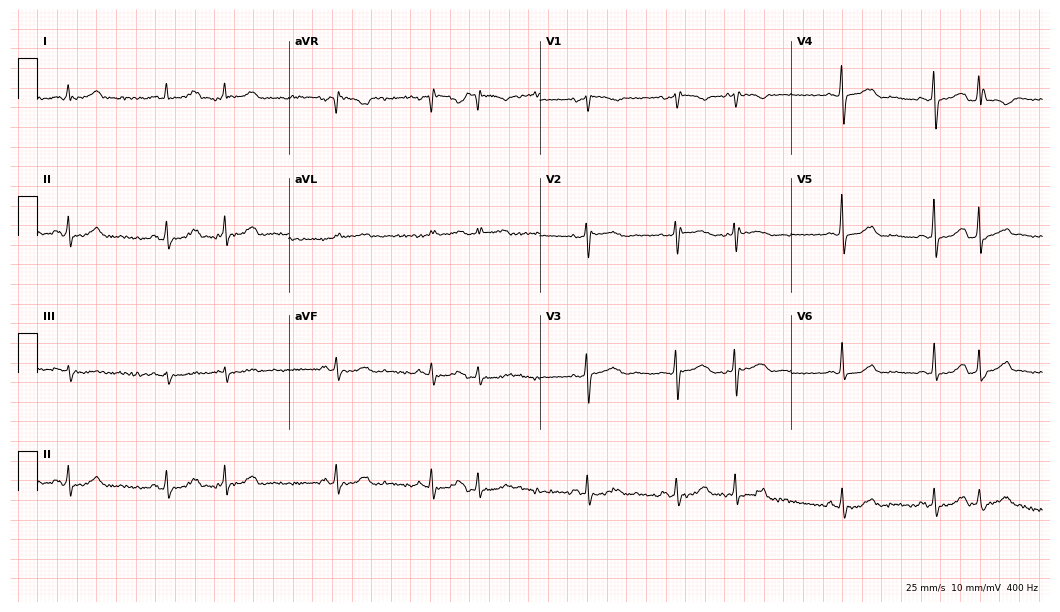
Standard 12-lead ECG recorded from a 74-year-old female. None of these six findings is recorded: first-degree AV block, right bundle branch block, left bundle branch block, sinus bradycardia, atrial fibrillation, sinus tachycardia.